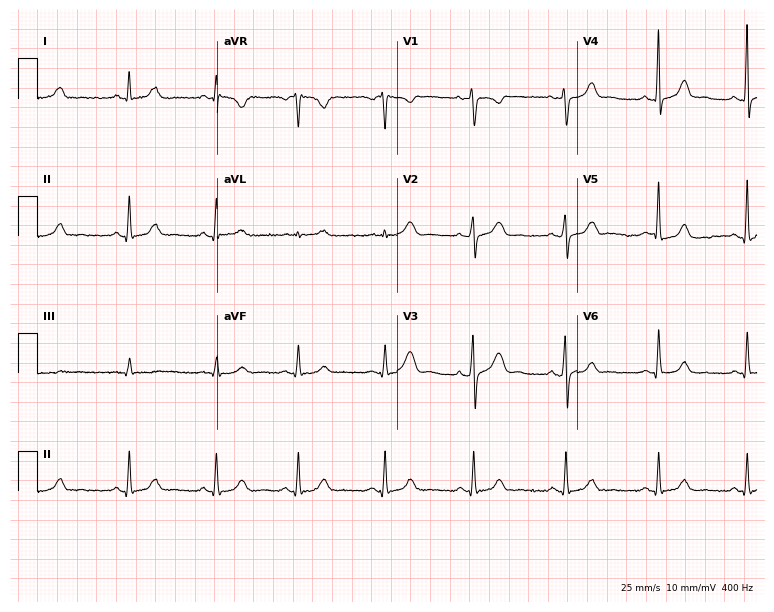
Standard 12-lead ECG recorded from a 29-year-old female patient (7.3-second recording at 400 Hz). Read as a normal ECG.